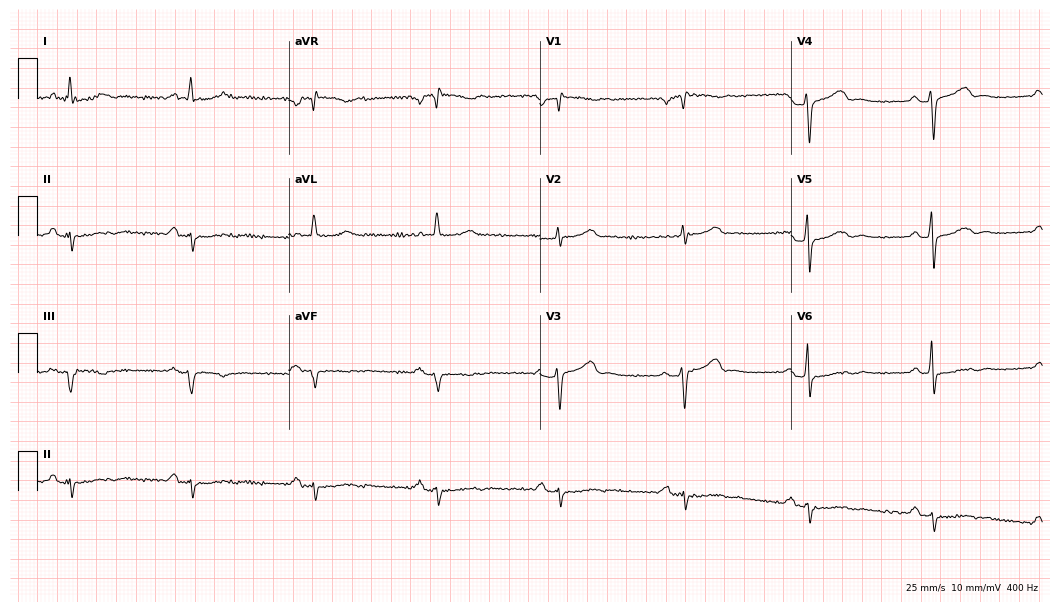
12-lead ECG from a female patient, 57 years old. Findings include first-degree AV block.